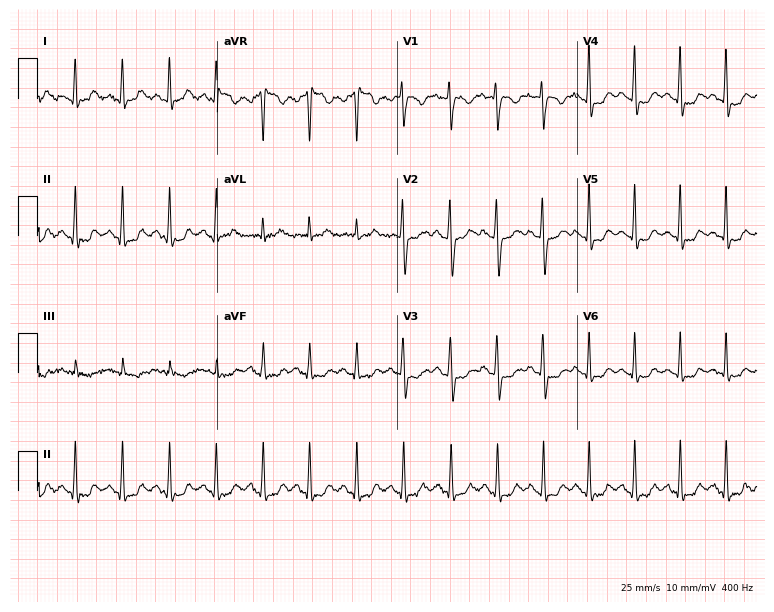
ECG (7.3-second recording at 400 Hz) — a 51-year-old woman. Findings include sinus tachycardia (a sinus rate of 100 beats per minute or more).